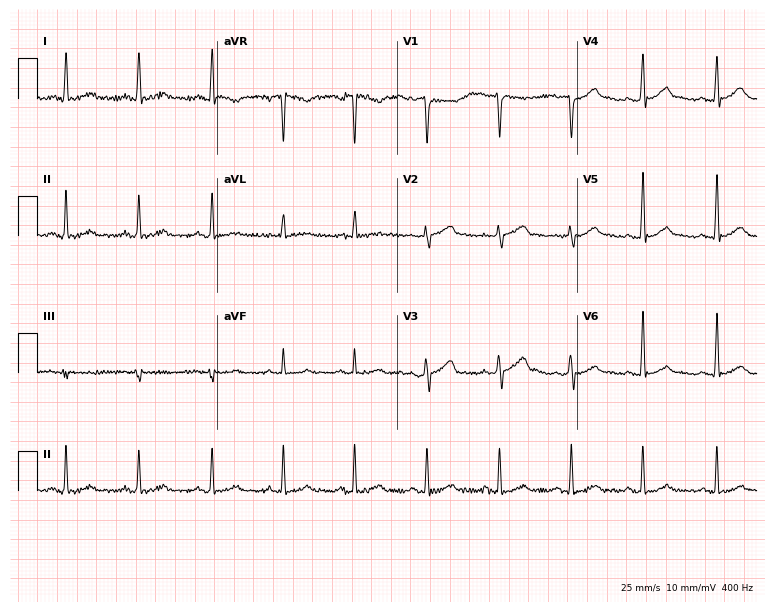
12-lead ECG from a man, 45 years old (7.3-second recording at 400 Hz). No first-degree AV block, right bundle branch block, left bundle branch block, sinus bradycardia, atrial fibrillation or sinus tachycardia recorded for this tracing. Only these six findings were labelled.